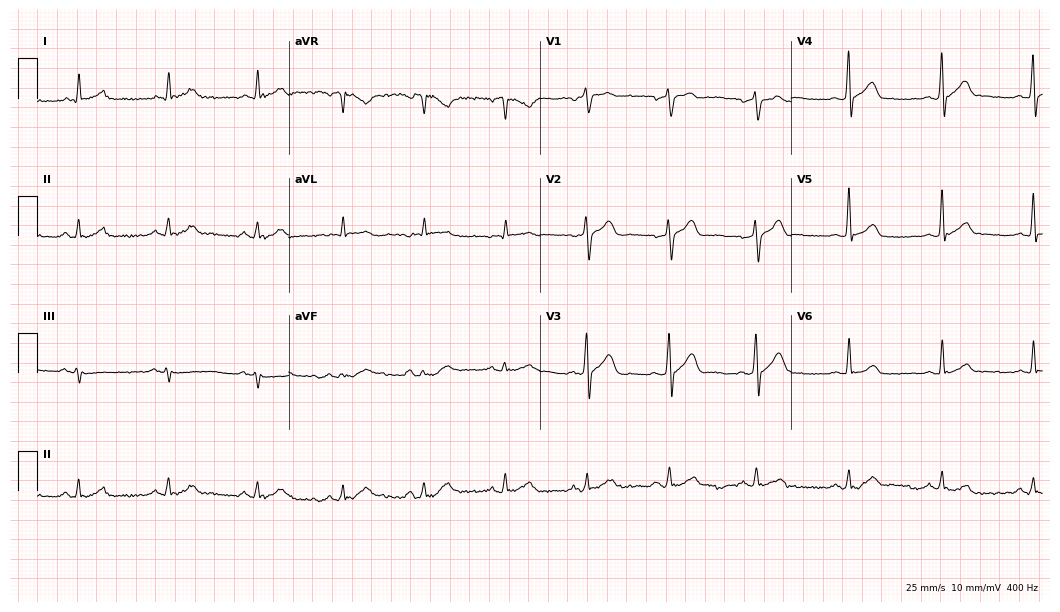
12-lead ECG from a male, 47 years old. Recorded interpretation: within normal limits.